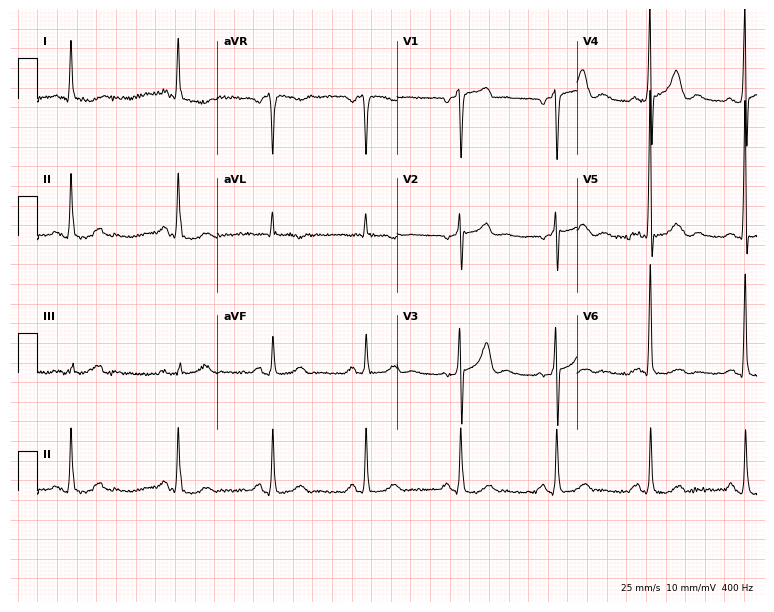
12-lead ECG from a male patient, 69 years old. Recorded interpretation: within normal limits.